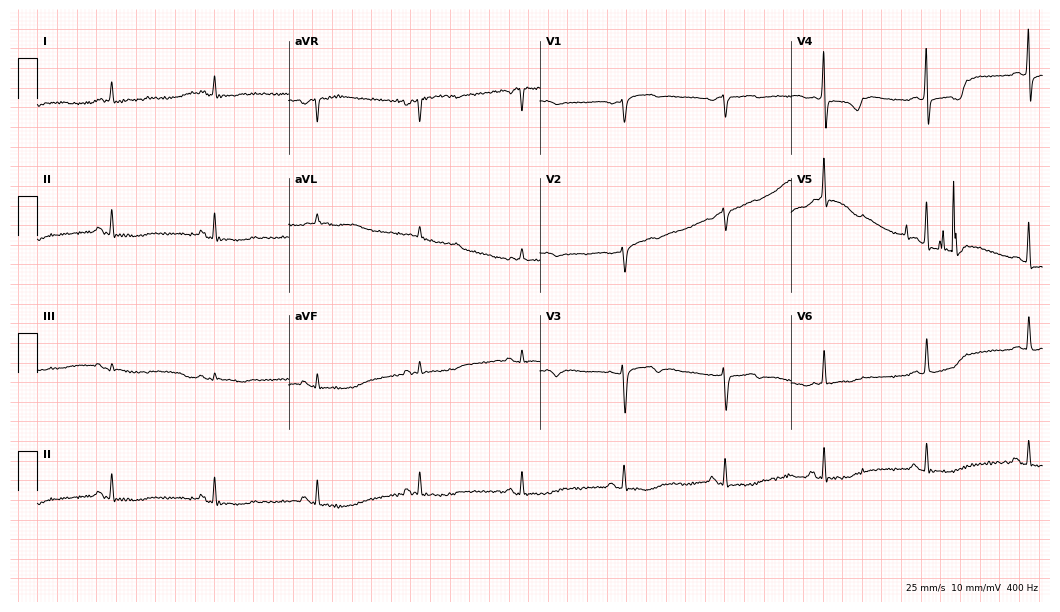
Resting 12-lead electrocardiogram. Patient: a 72-year-old female. None of these six findings is recorded: first-degree AV block, right bundle branch block, left bundle branch block, sinus bradycardia, atrial fibrillation, sinus tachycardia.